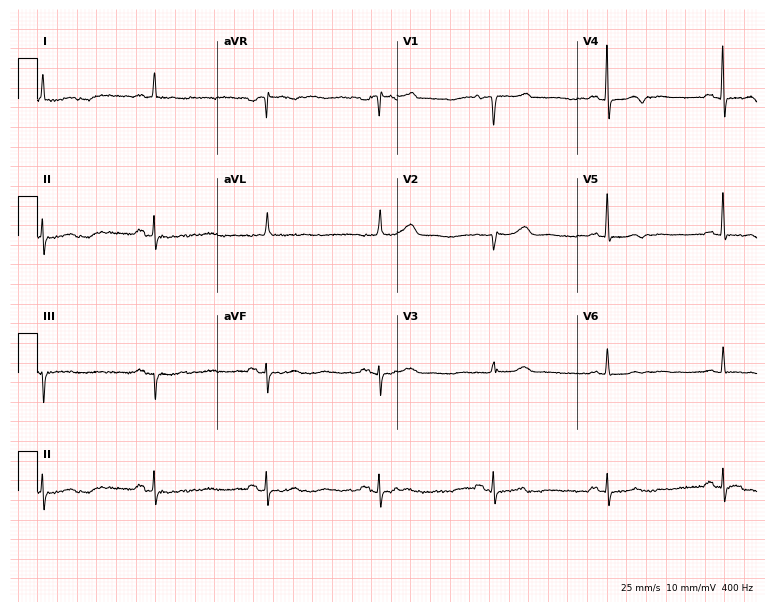
Electrocardiogram, a female, 83 years old. Of the six screened findings (first-degree AV block, right bundle branch block, left bundle branch block, sinus bradycardia, atrial fibrillation, sinus tachycardia), none is recorded. Findings outside these six are not listed.